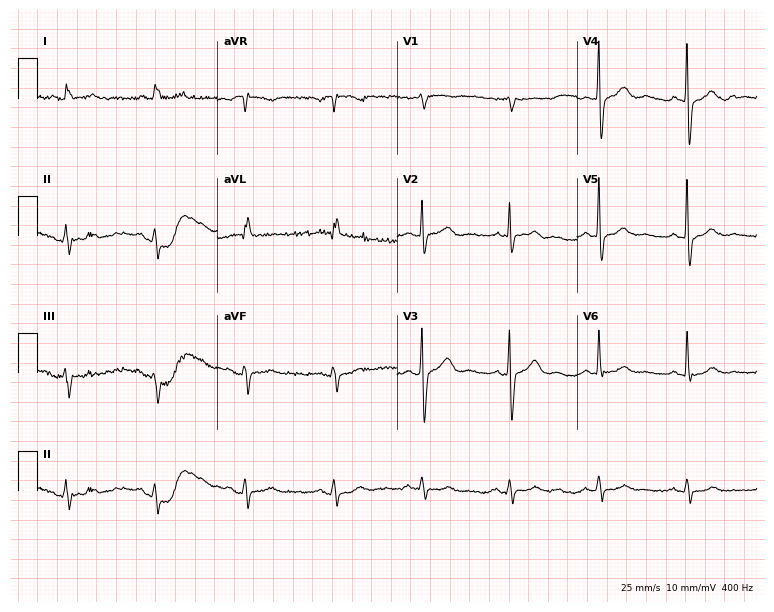
12-lead ECG from a male, 63 years old. Labelled as a normal ECG.